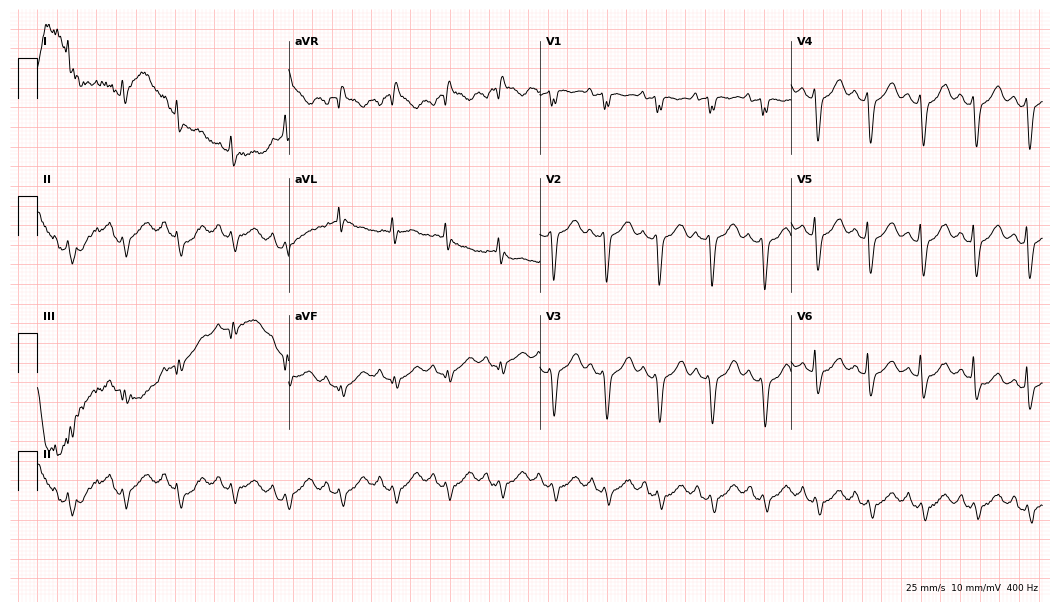
Standard 12-lead ECG recorded from a female patient, 64 years old. The tracing shows sinus tachycardia (a sinus rate of 100 beats per minute or more).